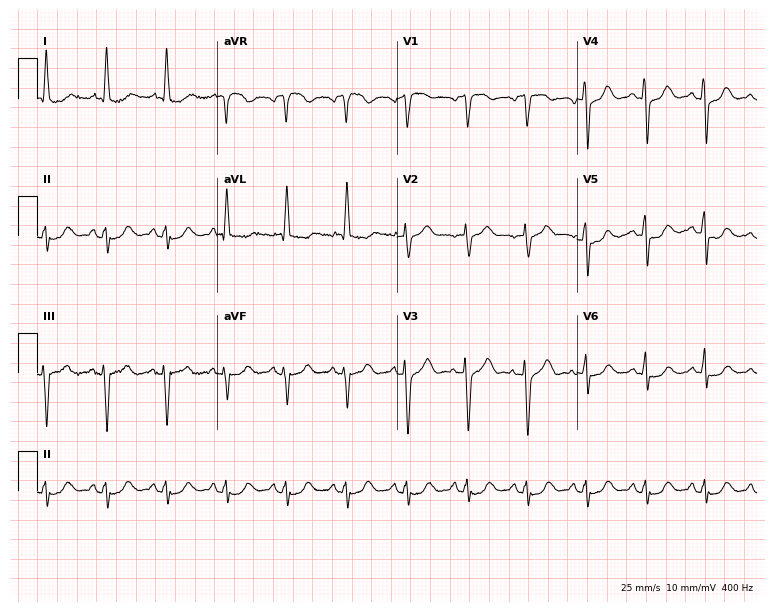
ECG — a 76-year-old woman. Screened for six findings — first-degree AV block, right bundle branch block, left bundle branch block, sinus bradycardia, atrial fibrillation, sinus tachycardia — none is recorded.